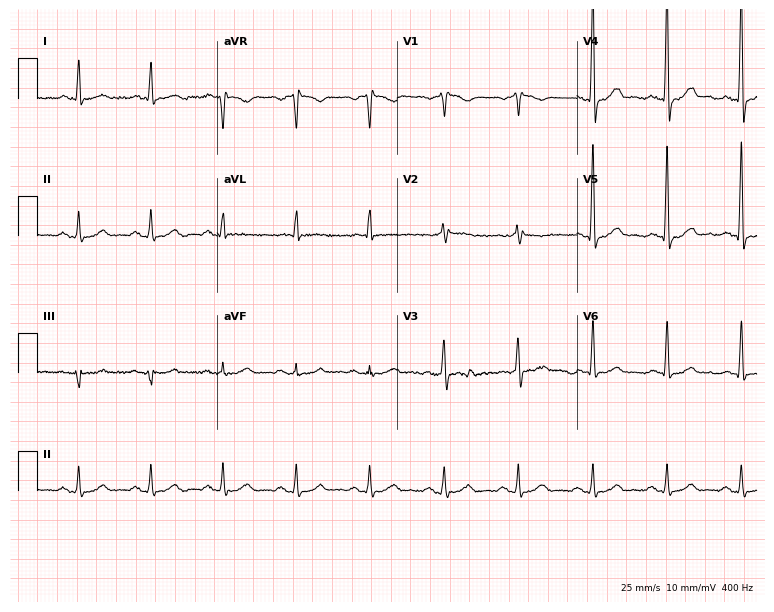
Electrocardiogram (7.3-second recording at 400 Hz), a male patient, 64 years old. Of the six screened findings (first-degree AV block, right bundle branch block, left bundle branch block, sinus bradycardia, atrial fibrillation, sinus tachycardia), none is recorded. Other findings, if any, are not listed.